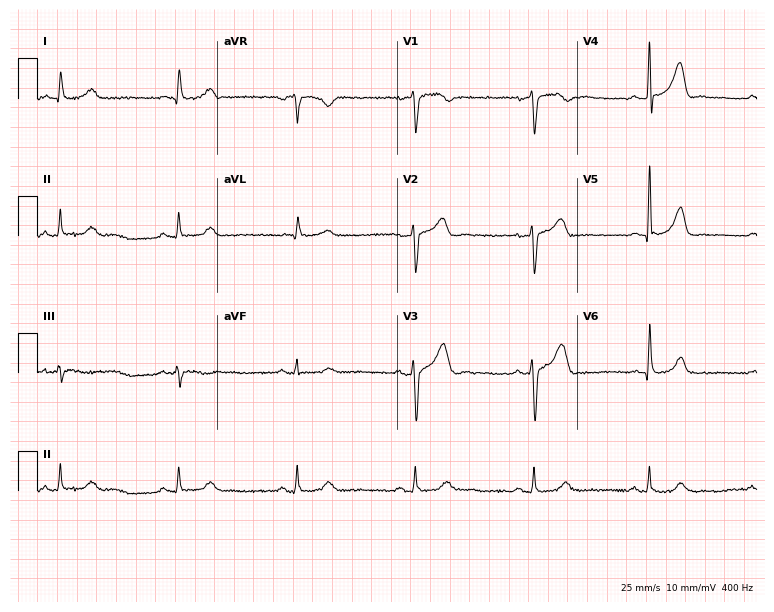
Standard 12-lead ECG recorded from a man, 60 years old. None of these six findings is recorded: first-degree AV block, right bundle branch block, left bundle branch block, sinus bradycardia, atrial fibrillation, sinus tachycardia. Findings outside these six are not listed.